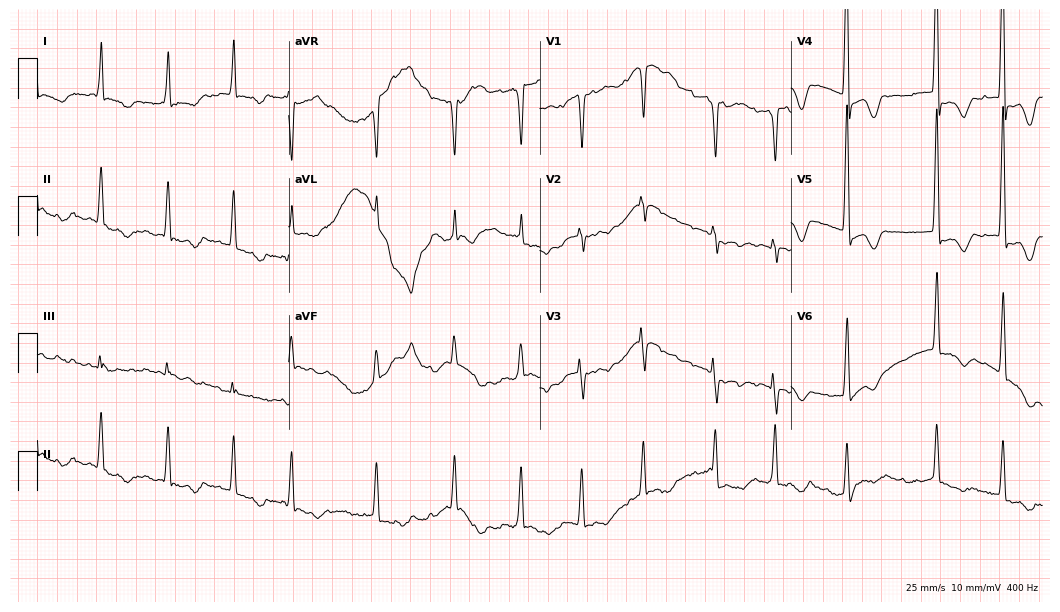
12-lead ECG from an 80-year-old female patient. Findings include atrial fibrillation.